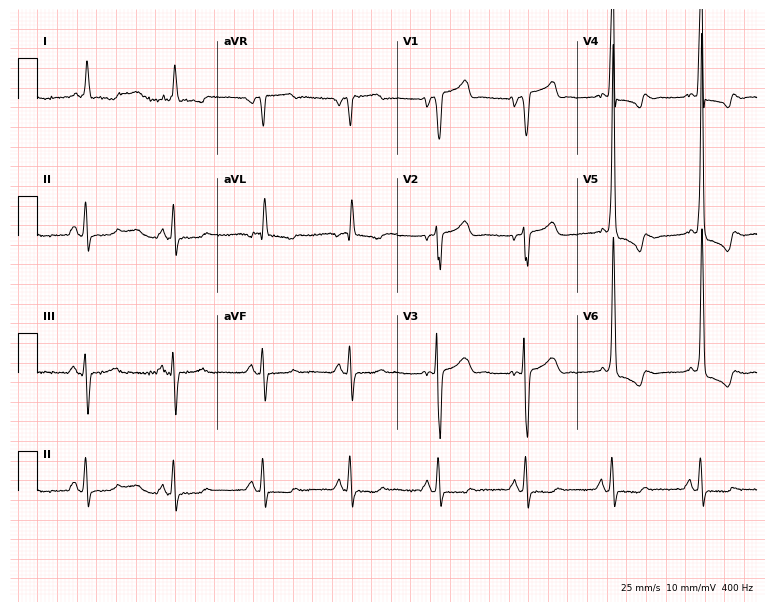
Electrocardiogram, a 68-year-old male. Overall reading on record: normal ECG.